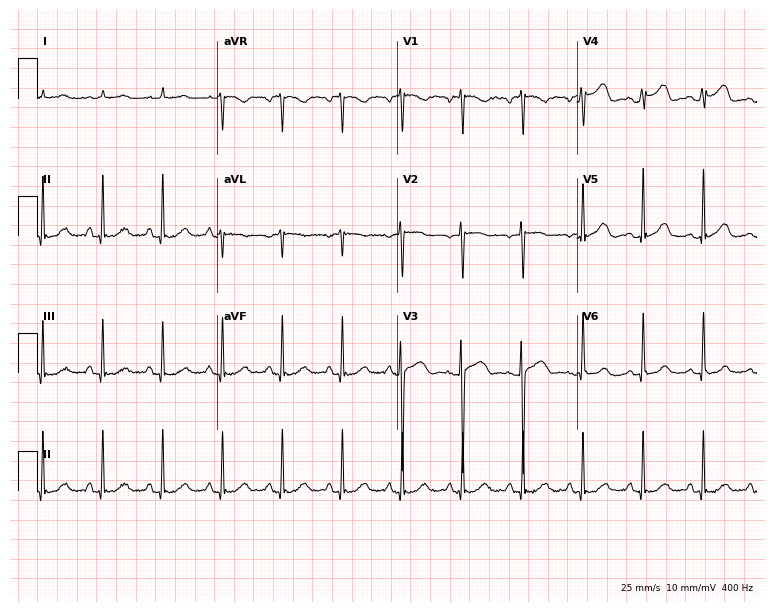
Resting 12-lead electrocardiogram (7.3-second recording at 400 Hz). Patient: a 62-year-old female. None of these six findings is recorded: first-degree AV block, right bundle branch block, left bundle branch block, sinus bradycardia, atrial fibrillation, sinus tachycardia. Findings outside these six are not listed.